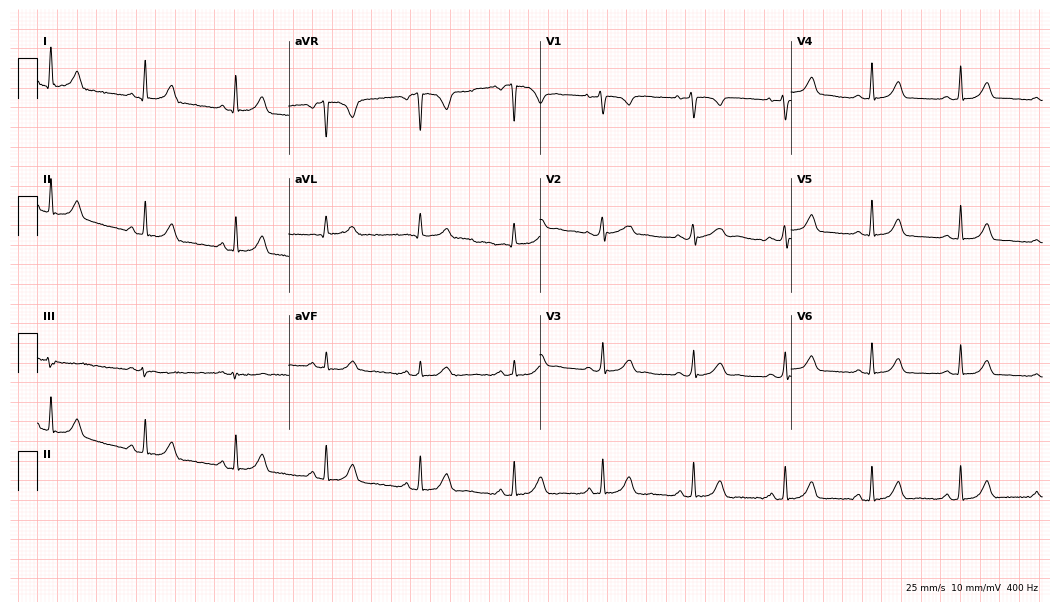
Standard 12-lead ECG recorded from a female, 31 years old. Read as a normal ECG.